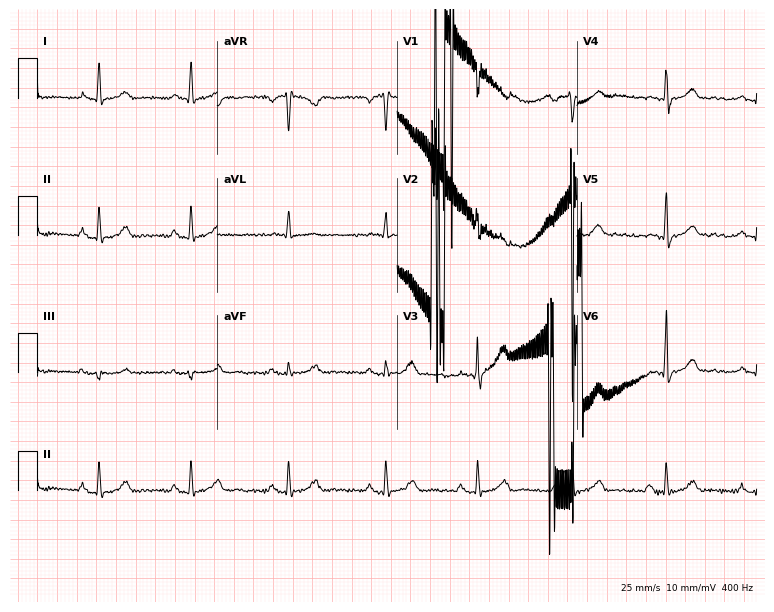
12-lead ECG (7.3-second recording at 400 Hz) from a 66-year-old male. Labelled as a normal ECG.